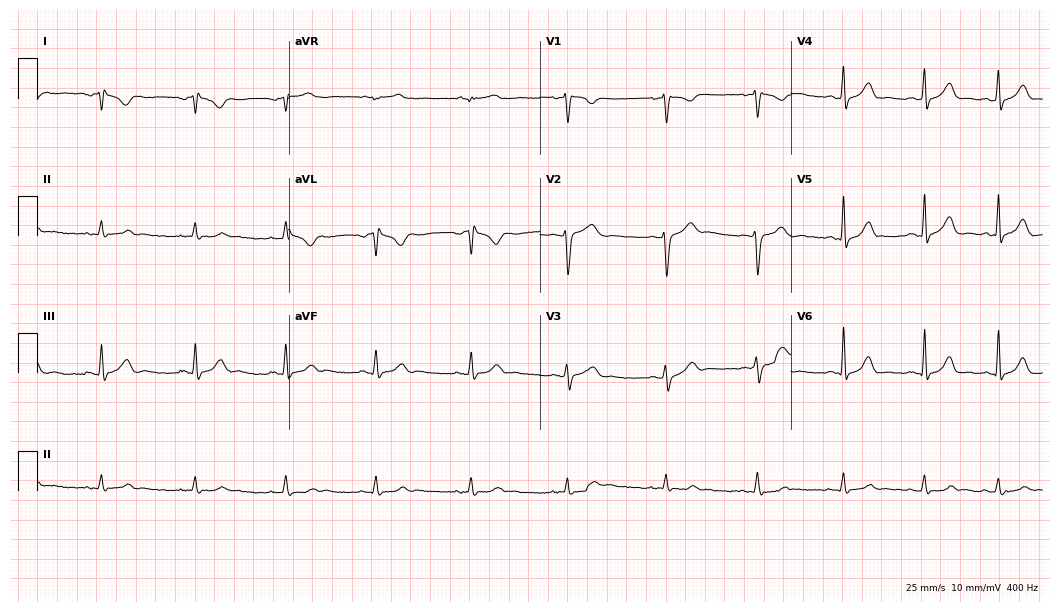
Resting 12-lead electrocardiogram (10.2-second recording at 400 Hz). Patient: a female, 30 years old. None of these six findings is recorded: first-degree AV block, right bundle branch block, left bundle branch block, sinus bradycardia, atrial fibrillation, sinus tachycardia.